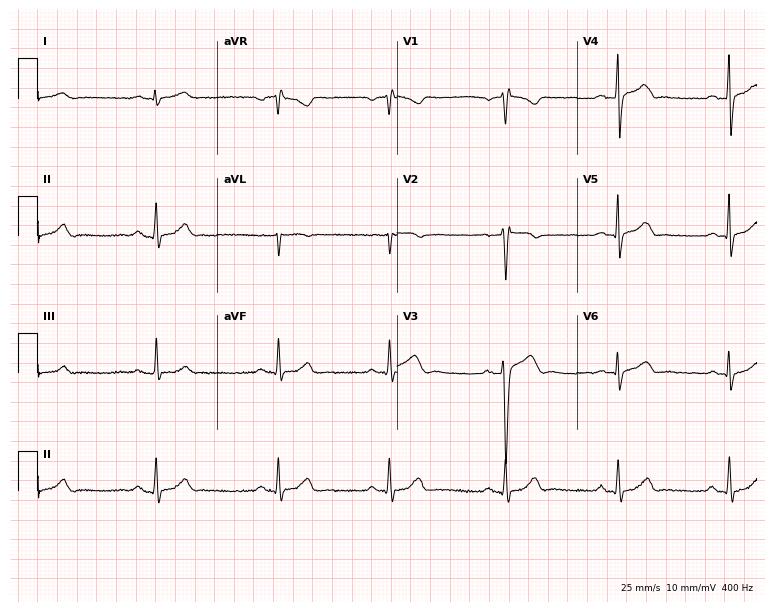
12-lead ECG from a 29-year-old man. Recorded interpretation: within normal limits.